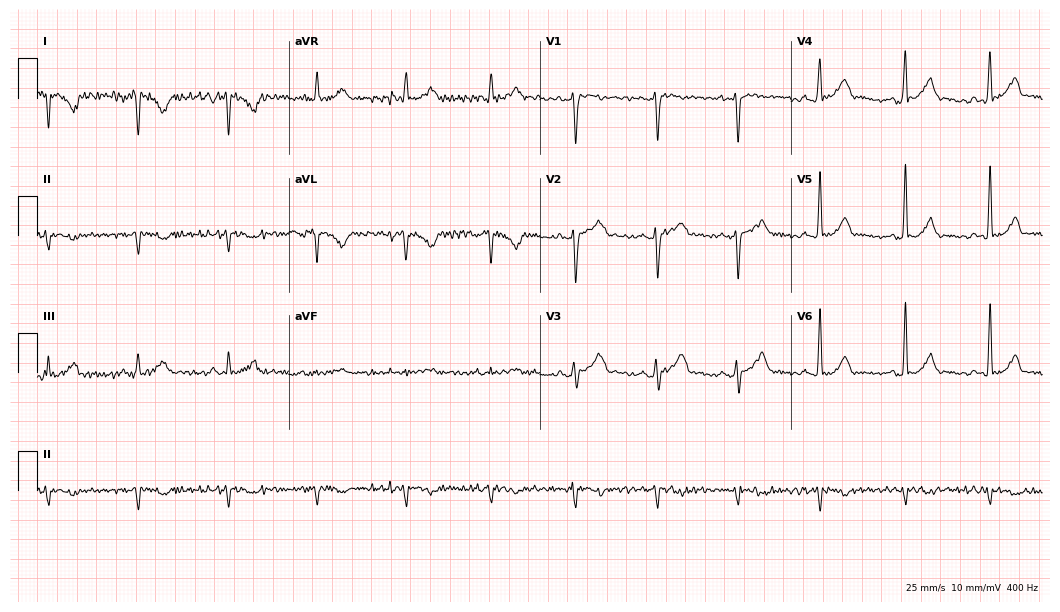
Electrocardiogram (10.2-second recording at 400 Hz), a male, 33 years old. Of the six screened findings (first-degree AV block, right bundle branch block, left bundle branch block, sinus bradycardia, atrial fibrillation, sinus tachycardia), none is recorded. Only these six findings were labelled.